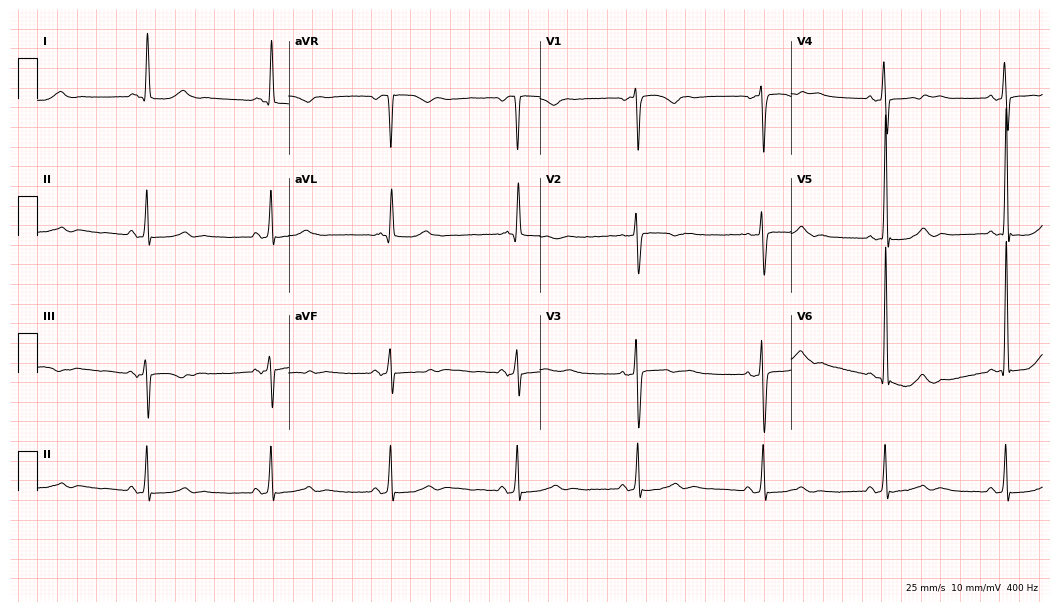
12-lead ECG from a woman, 65 years old (10.2-second recording at 400 Hz). No first-degree AV block, right bundle branch block (RBBB), left bundle branch block (LBBB), sinus bradycardia, atrial fibrillation (AF) or sinus tachycardia recorded for this tracing. Other findings, if any, are not listed.